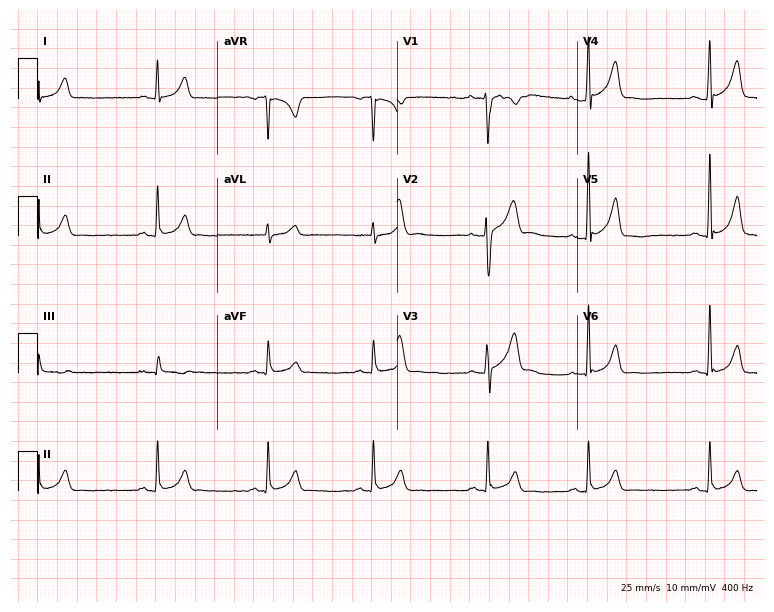
ECG (7.3-second recording at 400 Hz) — a 37-year-old male. Labelled as a normal ECG.